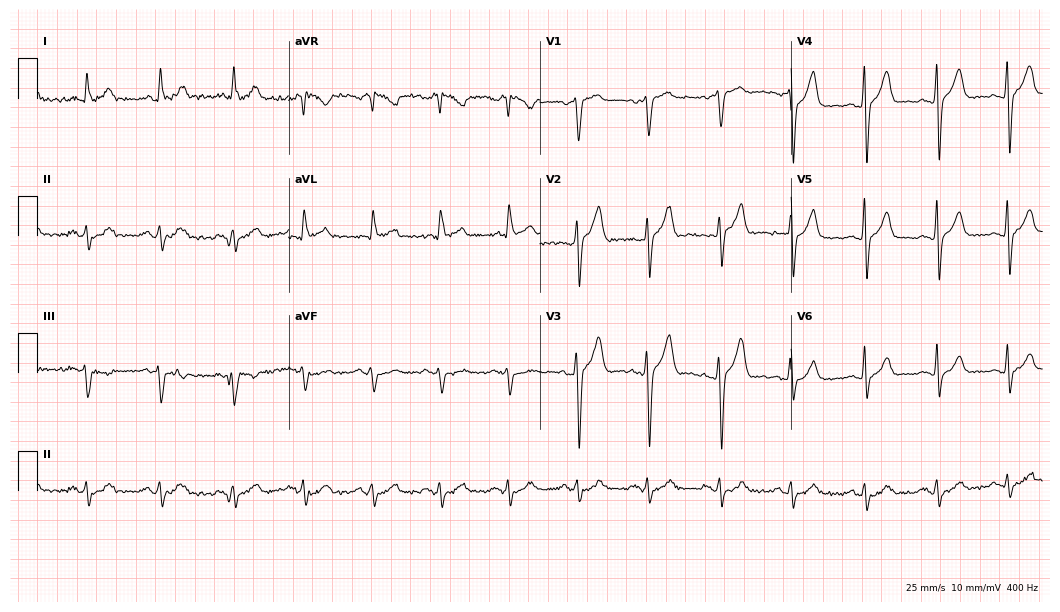
ECG — a 50-year-old man. Screened for six findings — first-degree AV block, right bundle branch block, left bundle branch block, sinus bradycardia, atrial fibrillation, sinus tachycardia — none is recorded. Findings outside these six are not listed.